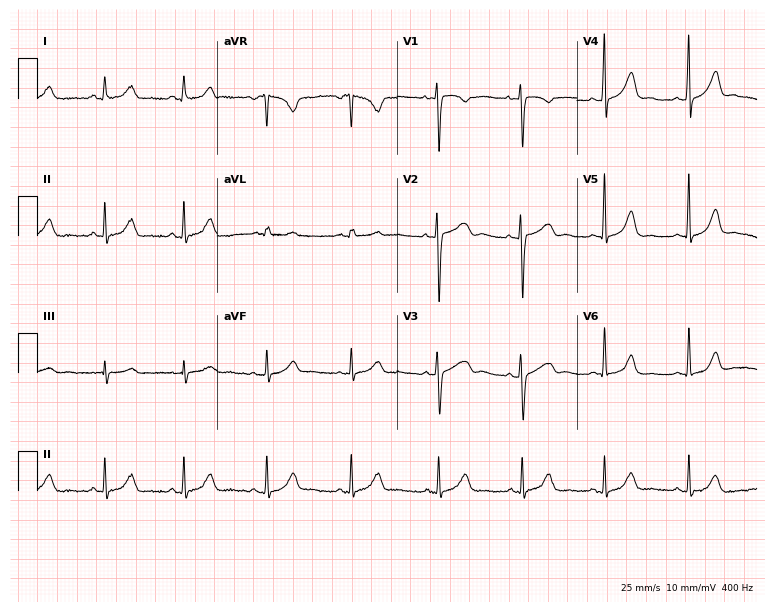
Electrocardiogram, a 40-year-old female. Overall reading on record: normal ECG.